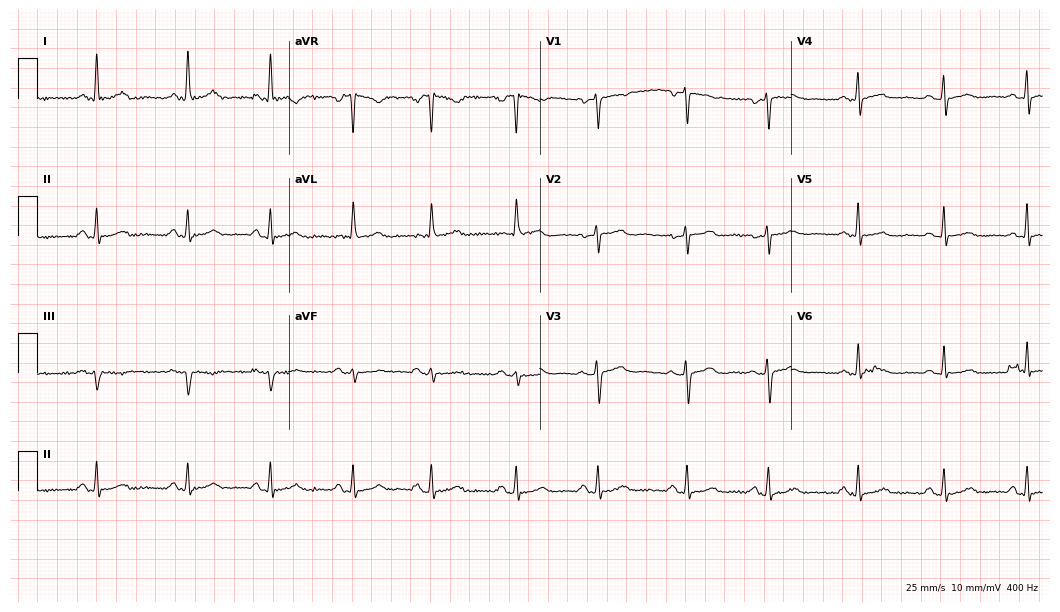
12-lead ECG (10.2-second recording at 400 Hz) from a 31-year-old woman. Labelled as a normal ECG.